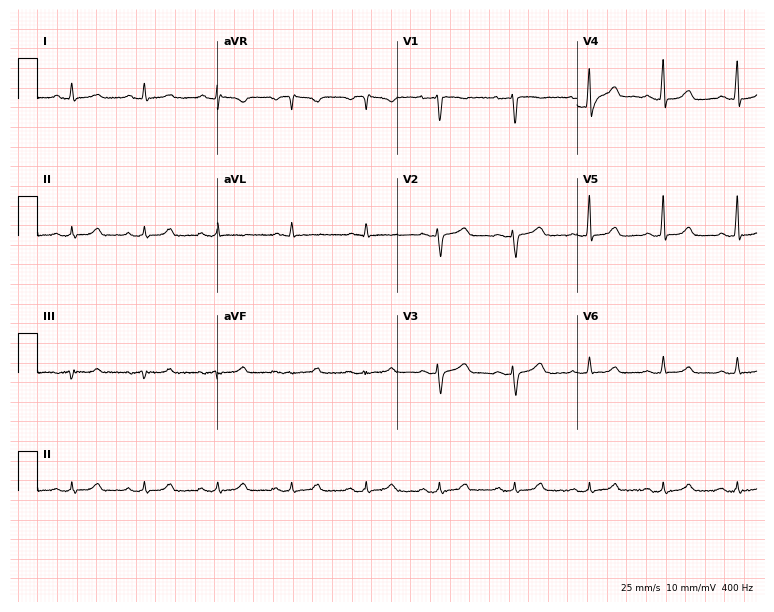
Resting 12-lead electrocardiogram. Patient: a 51-year-old woman. None of these six findings is recorded: first-degree AV block, right bundle branch block (RBBB), left bundle branch block (LBBB), sinus bradycardia, atrial fibrillation (AF), sinus tachycardia. Only these six findings were labelled.